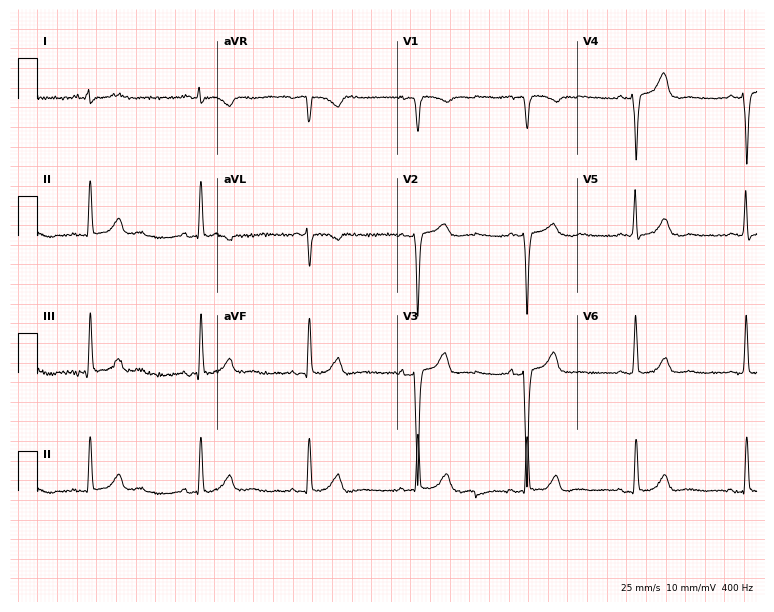
Electrocardiogram, an 83-year-old female. Of the six screened findings (first-degree AV block, right bundle branch block, left bundle branch block, sinus bradycardia, atrial fibrillation, sinus tachycardia), none is recorded. Findings outside these six are not listed.